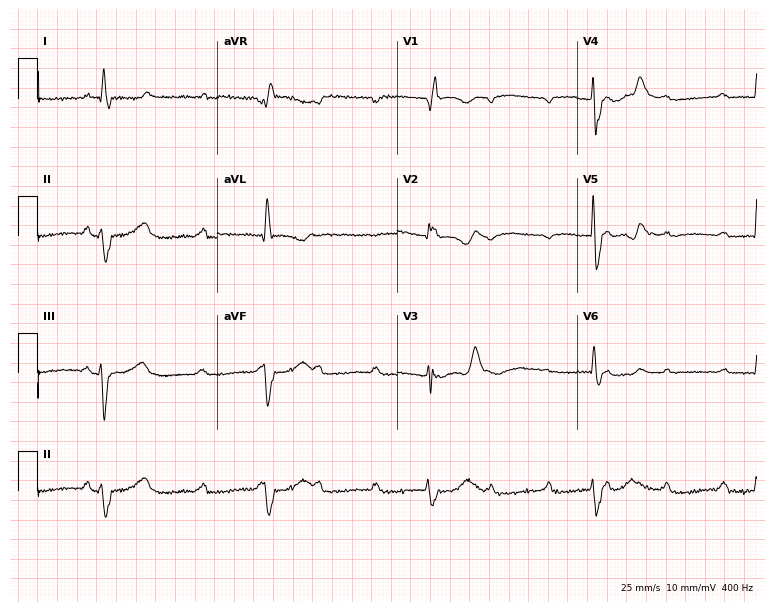
Electrocardiogram (7.3-second recording at 400 Hz), an 84-year-old man. Interpretation includes right bundle branch block (RBBB).